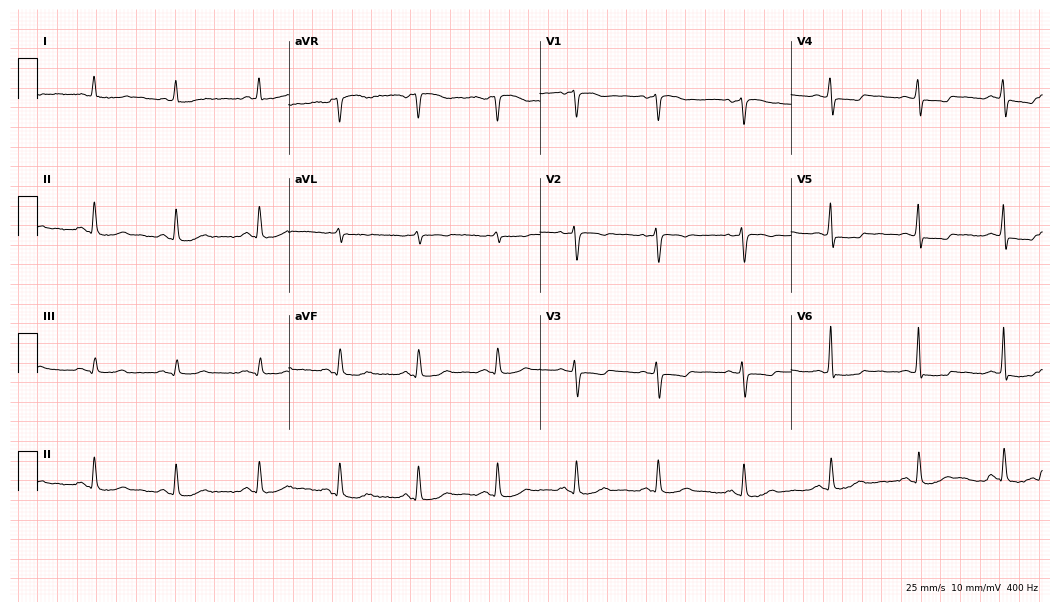
ECG (10.2-second recording at 400 Hz) — a 70-year-old female. Screened for six findings — first-degree AV block, right bundle branch block, left bundle branch block, sinus bradycardia, atrial fibrillation, sinus tachycardia — none is recorded. Other findings, if any, are not listed.